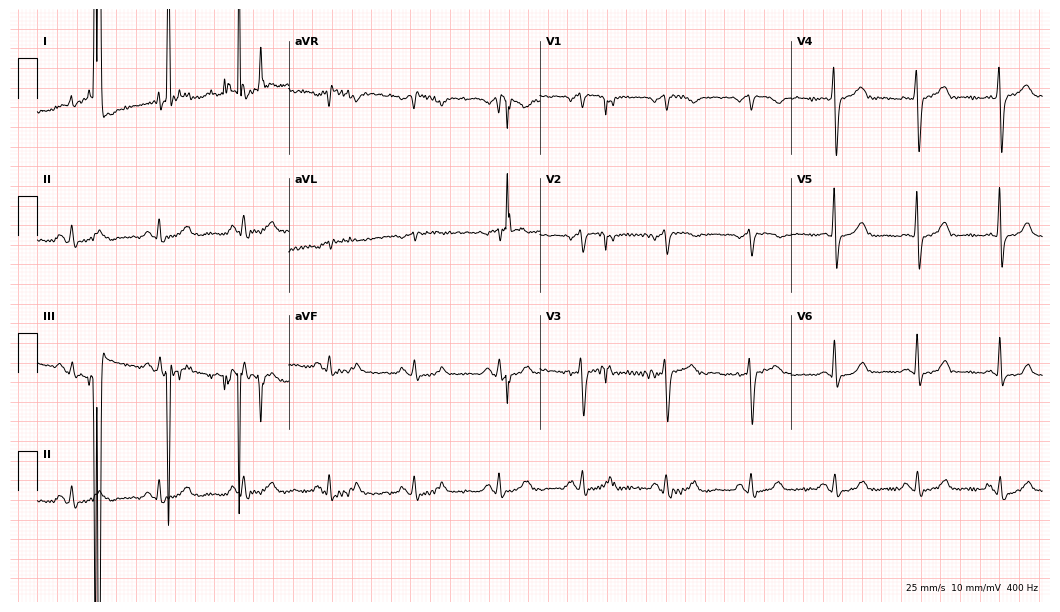
Resting 12-lead electrocardiogram. Patient: a 69-year-old male. None of these six findings is recorded: first-degree AV block, right bundle branch block (RBBB), left bundle branch block (LBBB), sinus bradycardia, atrial fibrillation (AF), sinus tachycardia.